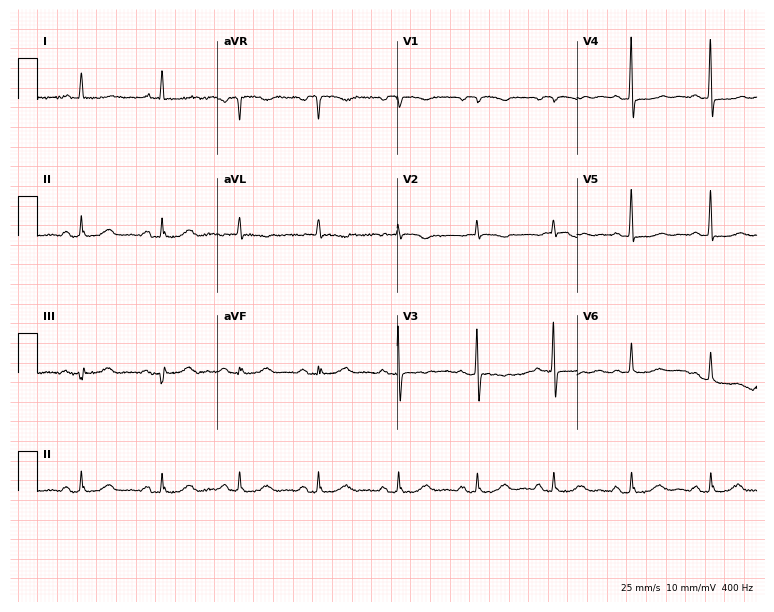
12-lead ECG from an 84-year-old female patient (7.3-second recording at 400 Hz). No first-degree AV block, right bundle branch block (RBBB), left bundle branch block (LBBB), sinus bradycardia, atrial fibrillation (AF) or sinus tachycardia recorded for this tracing.